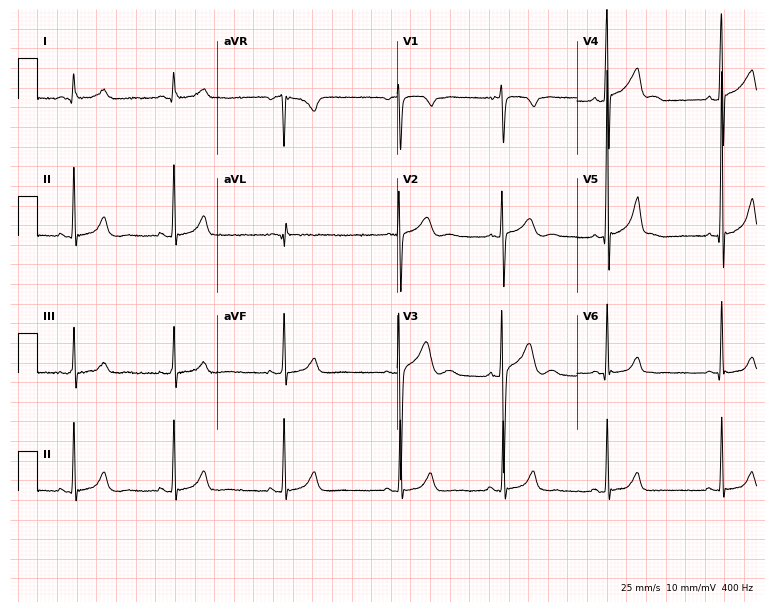
Standard 12-lead ECG recorded from a 22-year-old male patient. Read as a normal ECG.